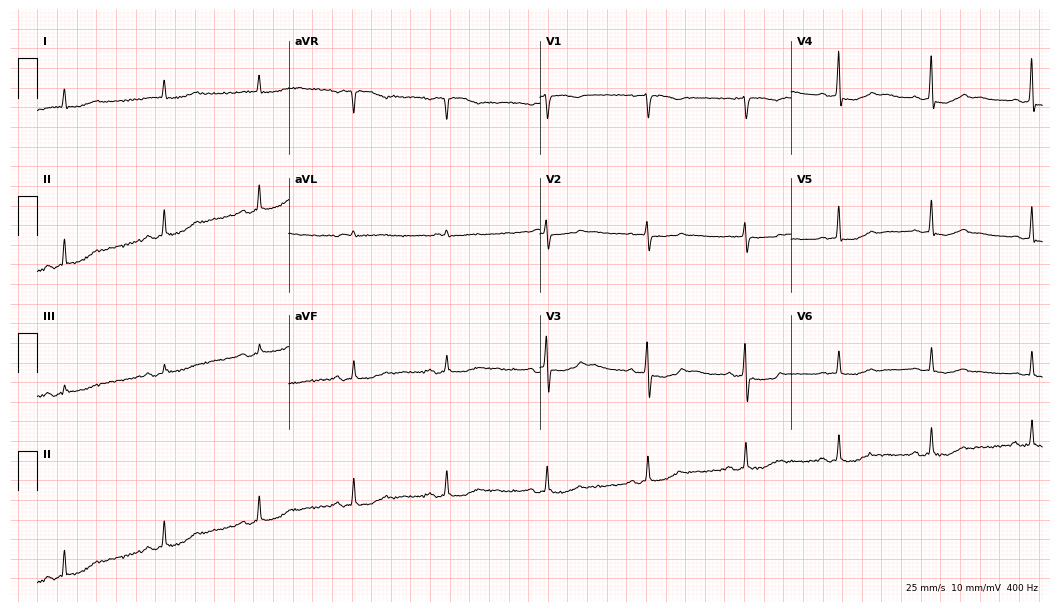
Resting 12-lead electrocardiogram (10.2-second recording at 400 Hz). Patient: a female, 77 years old. None of these six findings is recorded: first-degree AV block, right bundle branch block (RBBB), left bundle branch block (LBBB), sinus bradycardia, atrial fibrillation (AF), sinus tachycardia.